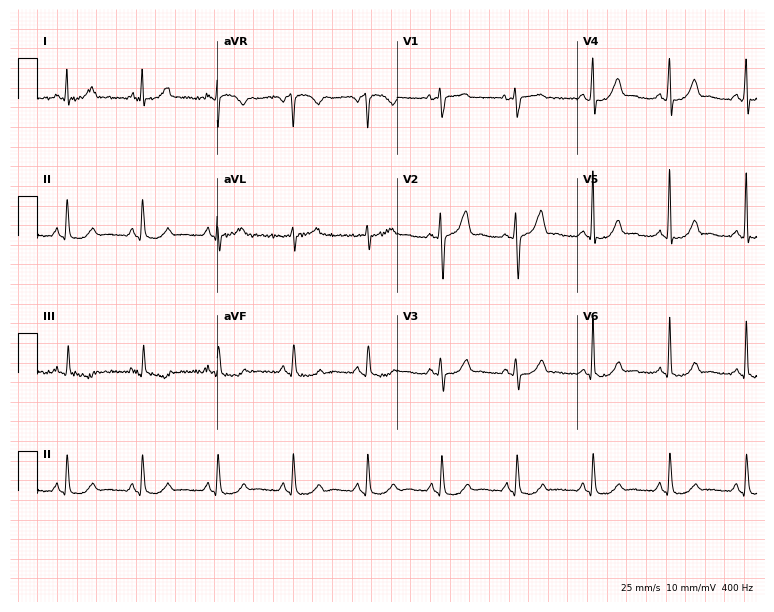
12-lead ECG from a man, 66 years old (7.3-second recording at 400 Hz). Recorded interpretation: within normal limits.